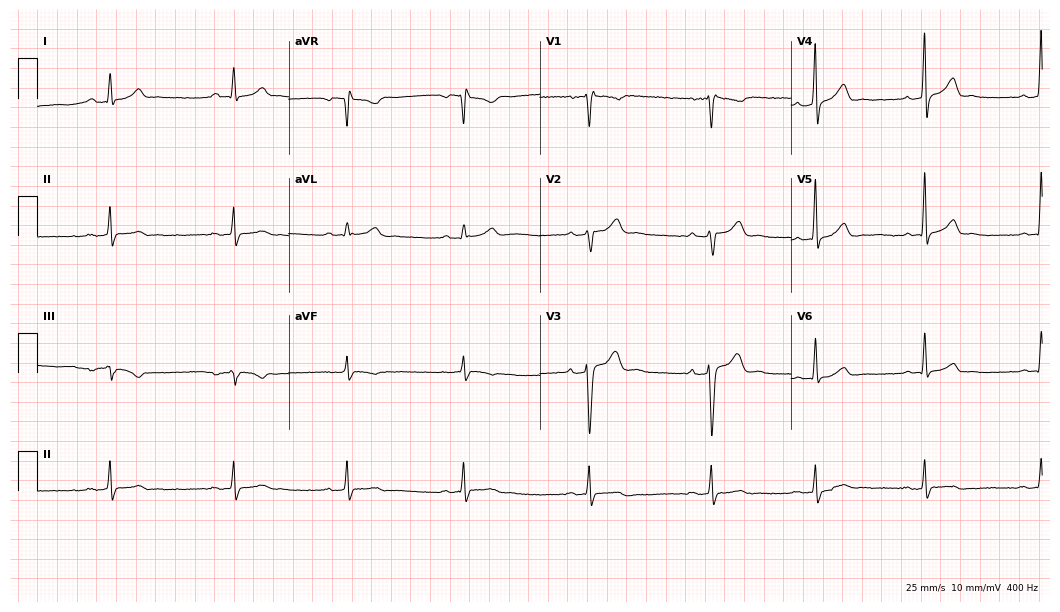
Standard 12-lead ECG recorded from a man, 33 years old. The tracing shows sinus bradycardia (a sinus rate of 50 beats per minute or less).